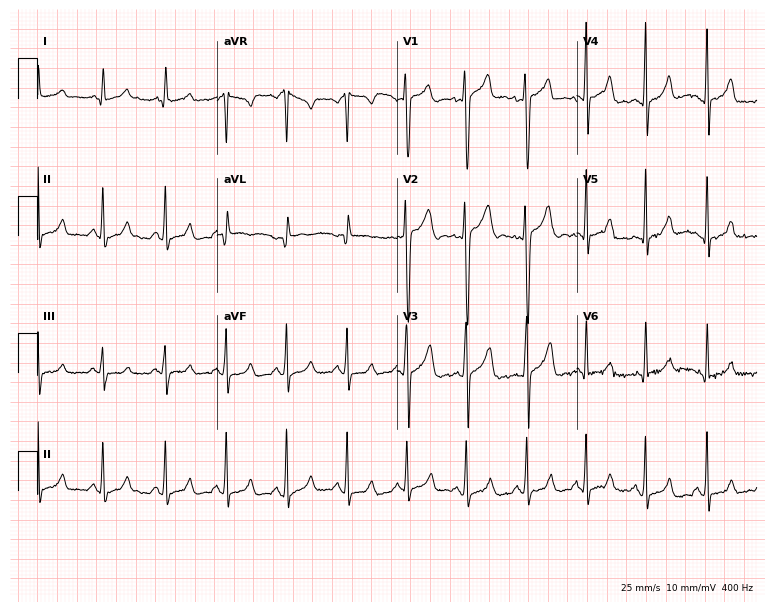
ECG (7.3-second recording at 400 Hz) — a man, 23 years old. Screened for six findings — first-degree AV block, right bundle branch block (RBBB), left bundle branch block (LBBB), sinus bradycardia, atrial fibrillation (AF), sinus tachycardia — none is recorded.